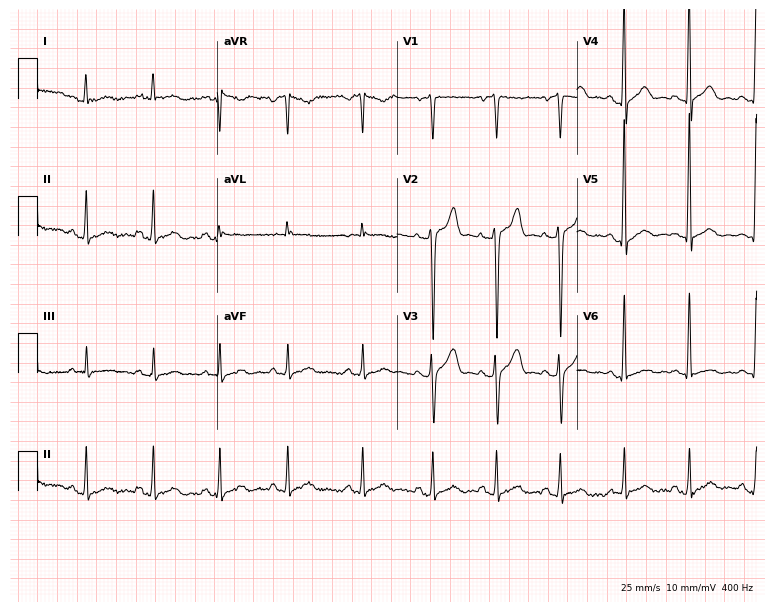
12-lead ECG from a 35-year-old man. Recorded interpretation: within normal limits.